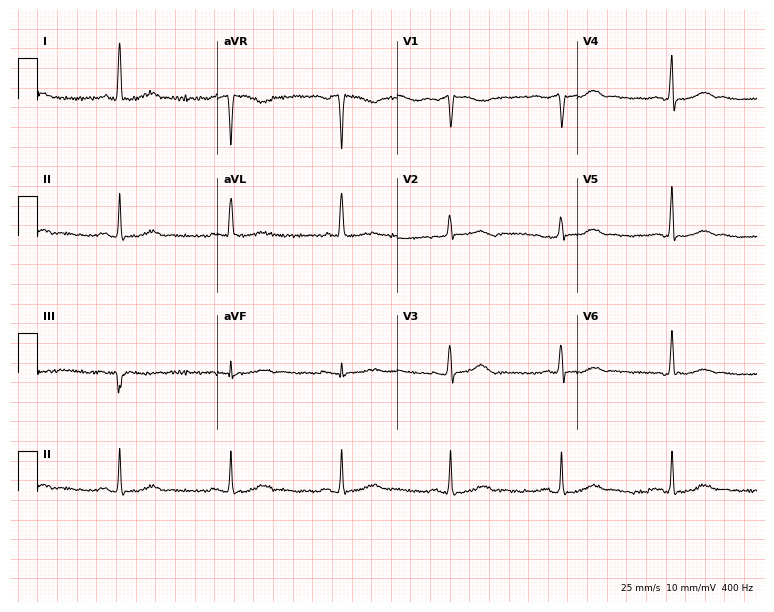
Standard 12-lead ECG recorded from a 70-year-old female patient. Read as a normal ECG.